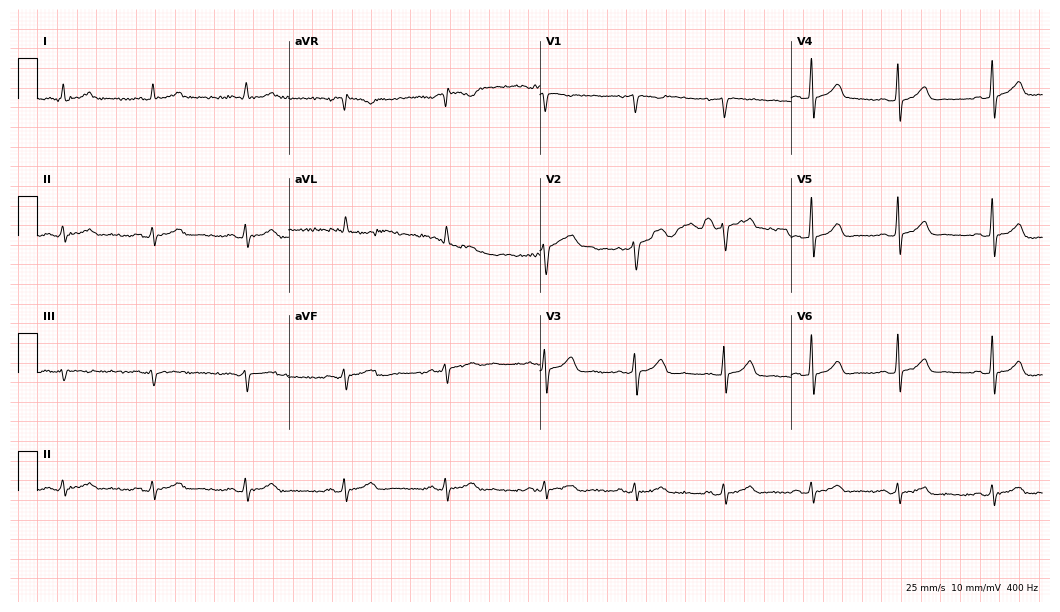
12-lead ECG (10.2-second recording at 400 Hz) from a male patient, 70 years old. Labelled as a normal ECG.